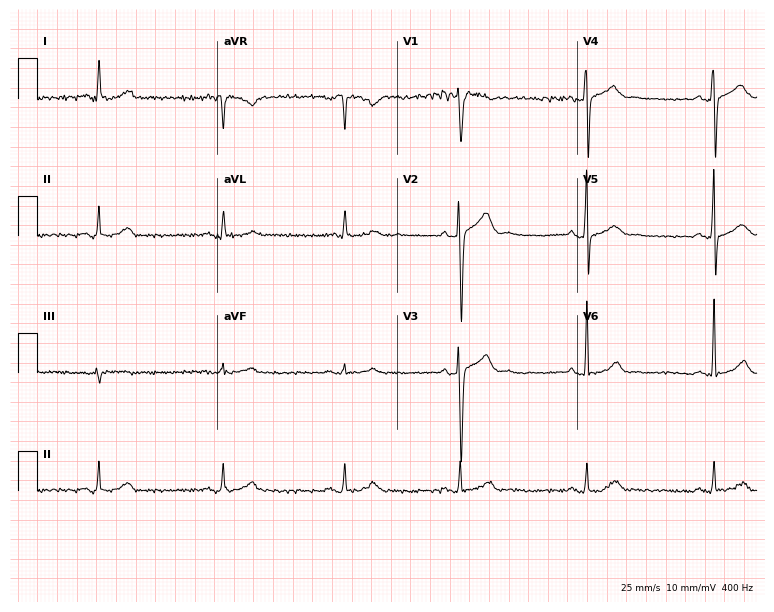
12-lead ECG from a 34-year-old male (7.3-second recording at 400 Hz). No first-degree AV block, right bundle branch block (RBBB), left bundle branch block (LBBB), sinus bradycardia, atrial fibrillation (AF) or sinus tachycardia recorded for this tracing.